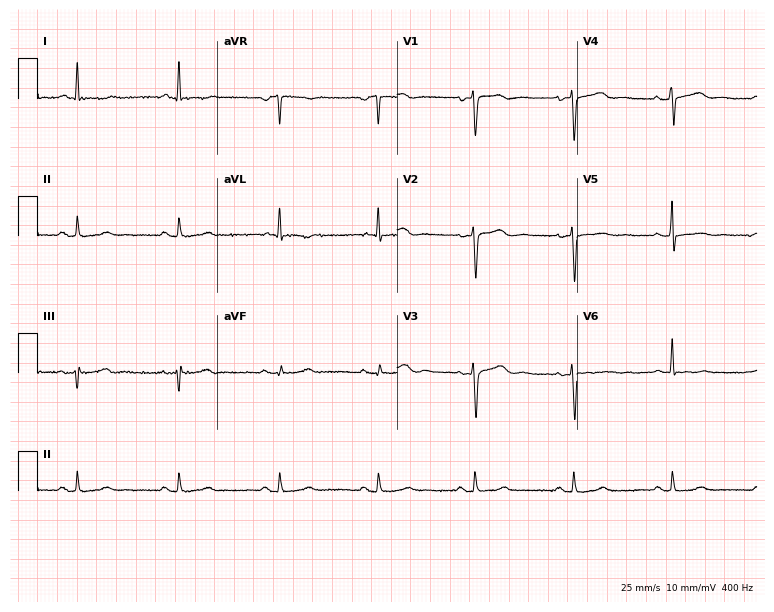
Resting 12-lead electrocardiogram (7.3-second recording at 400 Hz). Patient: a 61-year-old woman. Read as a normal ECG.